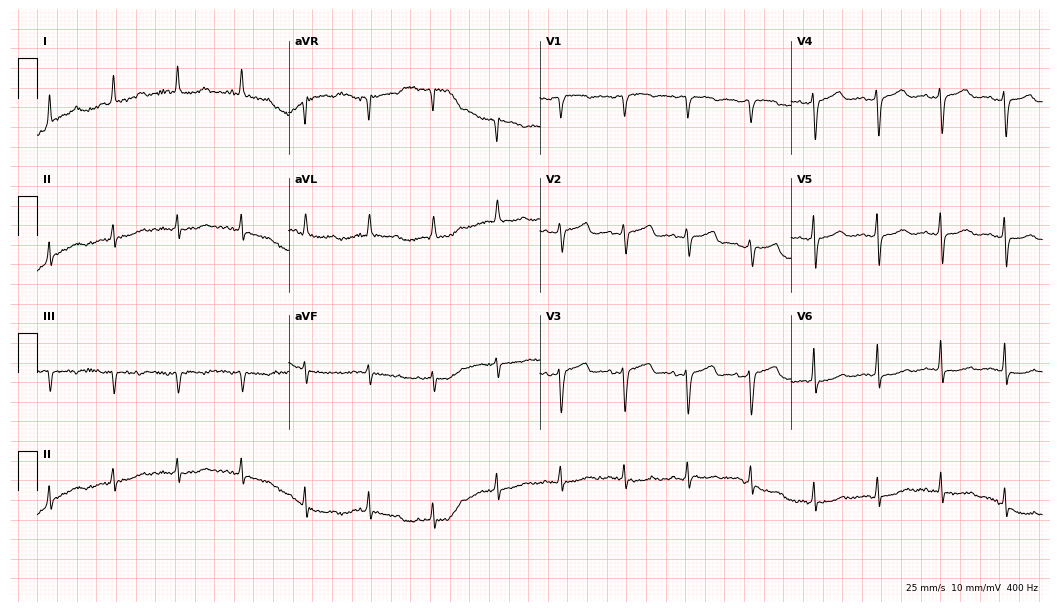
Resting 12-lead electrocardiogram. Patient: a woman, 79 years old. Read as a normal ECG.